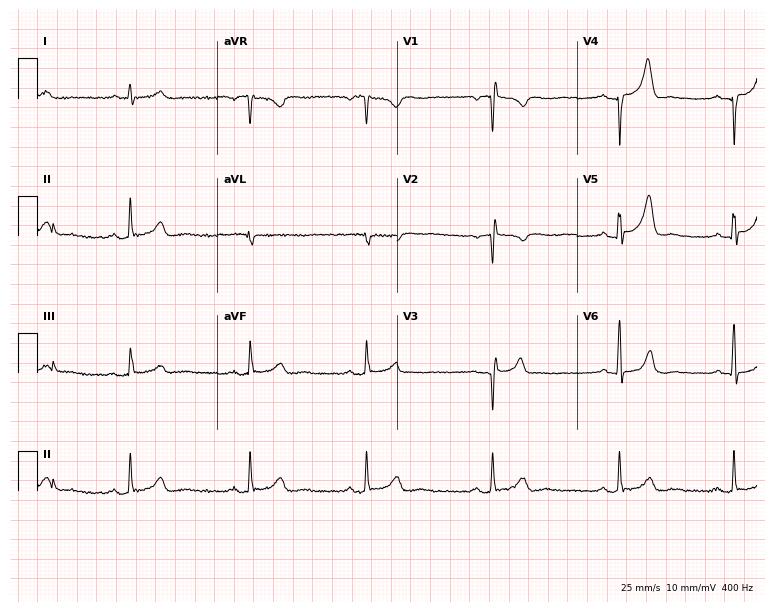
Standard 12-lead ECG recorded from a 38-year-old male patient. The tracing shows sinus bradycardia (a sinus rate of 50 beats per minute or less).